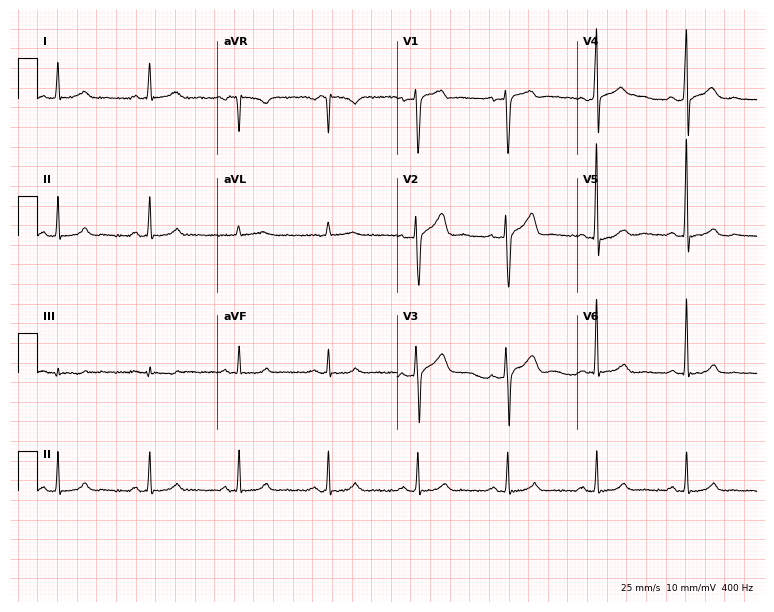
Electrocardiogram (7.3-second recording at 400 Hz), a 58-year-old male patient. Overall reading on record: normal ECG.